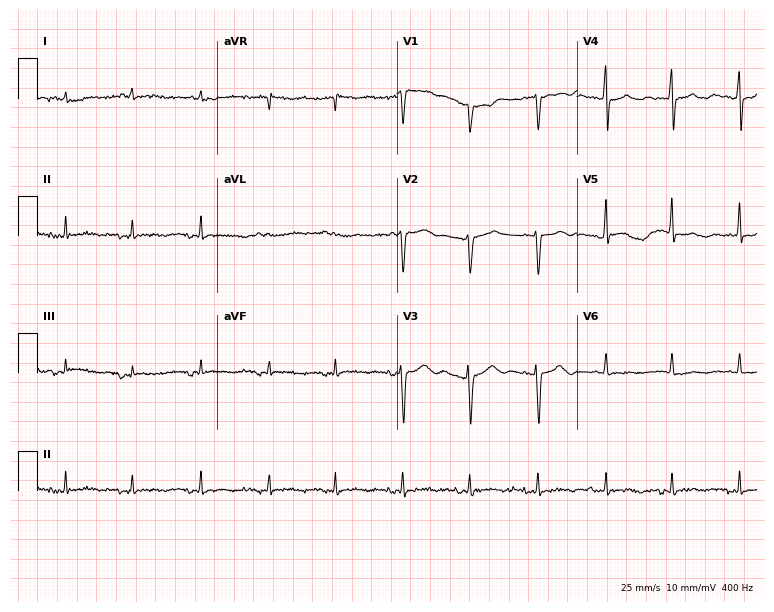
ECG — an 84-year-old woman. Screened for six findings — first-degree AV block, right bundle branch block, left bundle branch block, sinus bradycardia, atrial fibrillation, sinus tachycardia — none is recorded.